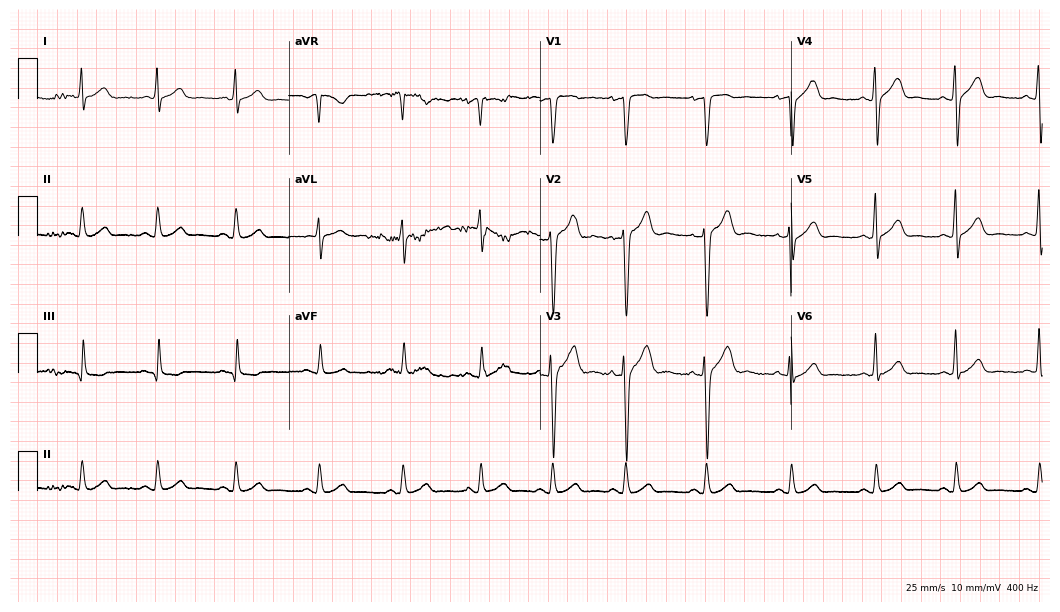
Standard 12-lead ECG recorded from a male patient, 21 years old (10.2-second recording at 400 Hz). Read as a normal ECG.